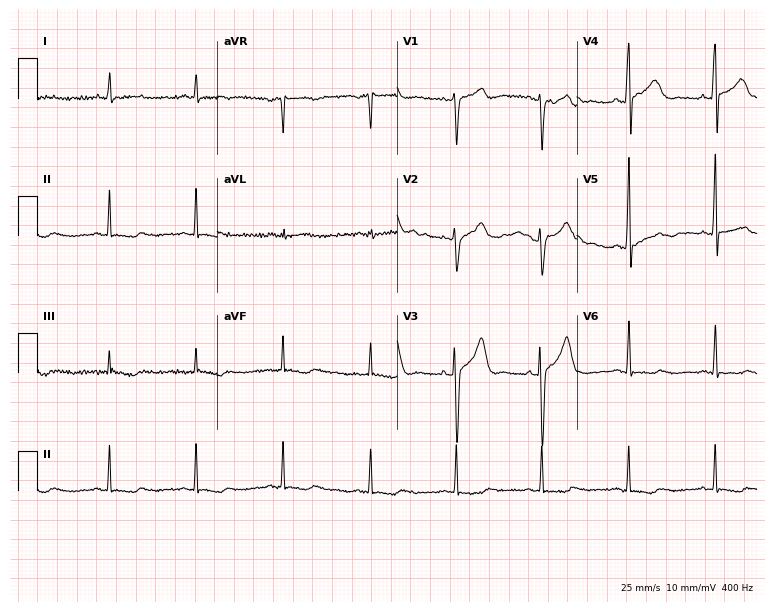
ECG (7.3-second recording at 400 Hz) — a 61-year-old male patient. Screened for six findings — first-degree AV block, right bundle branch block, left bundle branch block, sinus bradycardia, atrial fibrillation, sinus tachycardia — none is recorded. Findings outside these six are not listed.